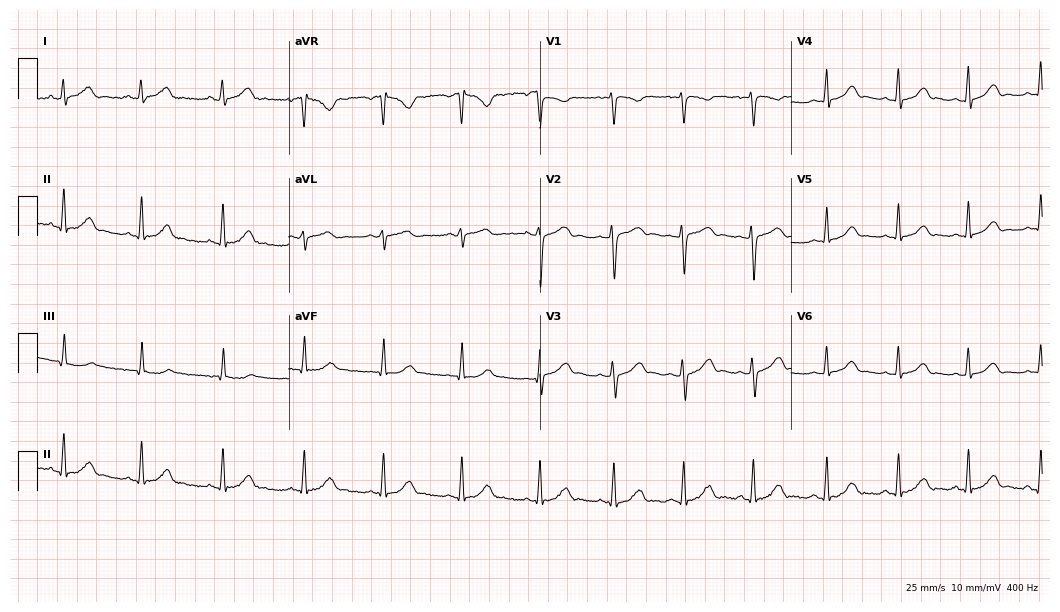
12-lead ECG from a 20-year-old woman. Labelled as a normal ECG.